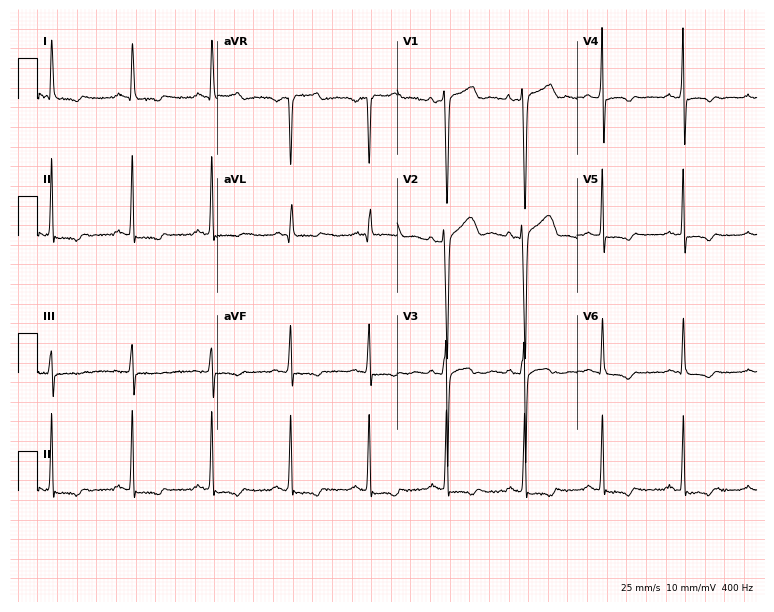
ECG (7.3-second recording at 400 Hz) — a female patient, 51 years old. Screened for six findings — first-degree AV block, right bundle branch block (RBBB), left bundle branch block (LBBB), sinus bradycardia, atrial fibrillation (AF), sinus tachycardia — none is recorded.